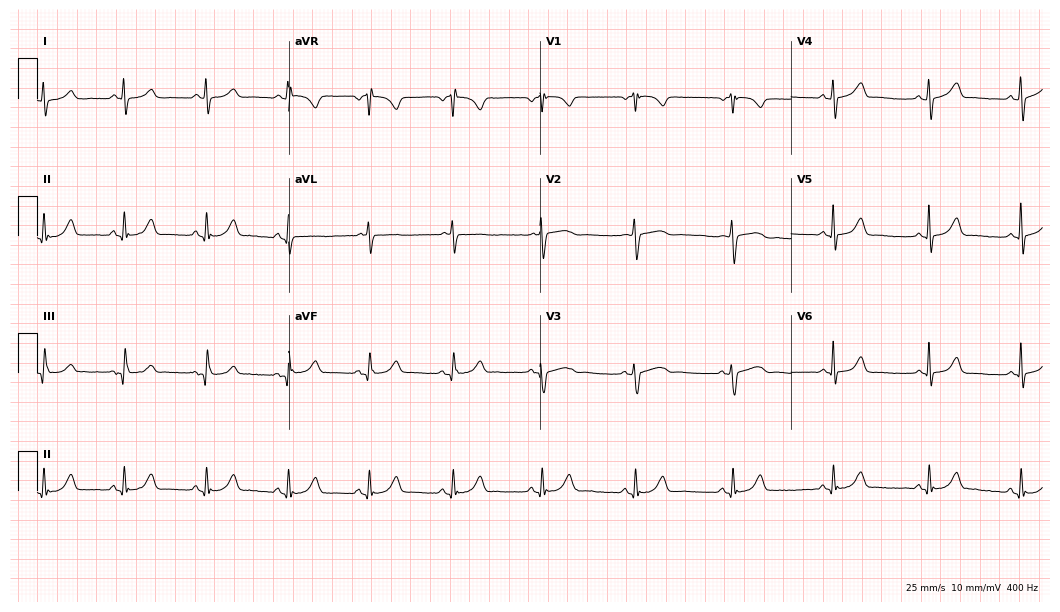
ECG — a 48-year-old male patient. Labelled as a normal ECG.